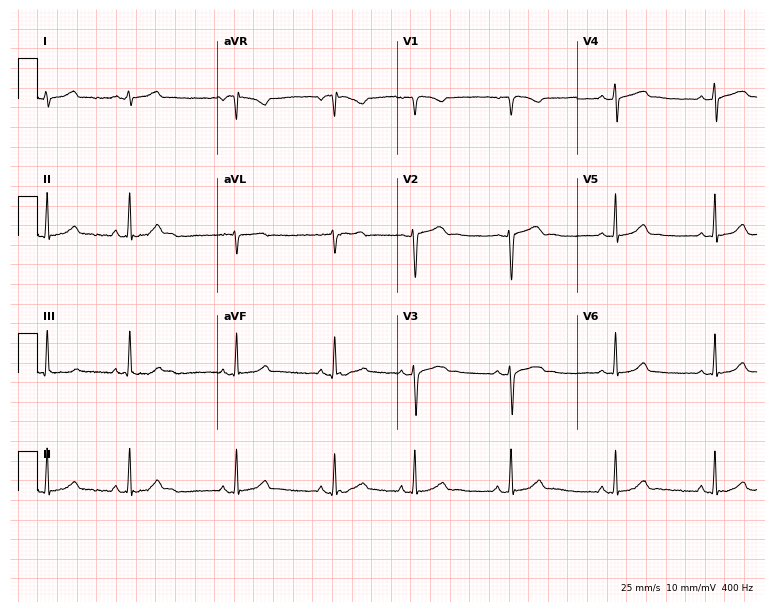
12-lead ECG (7.3-second recording at 400 Hz) from a female, 23 years old. Labelled as a normal ECG.